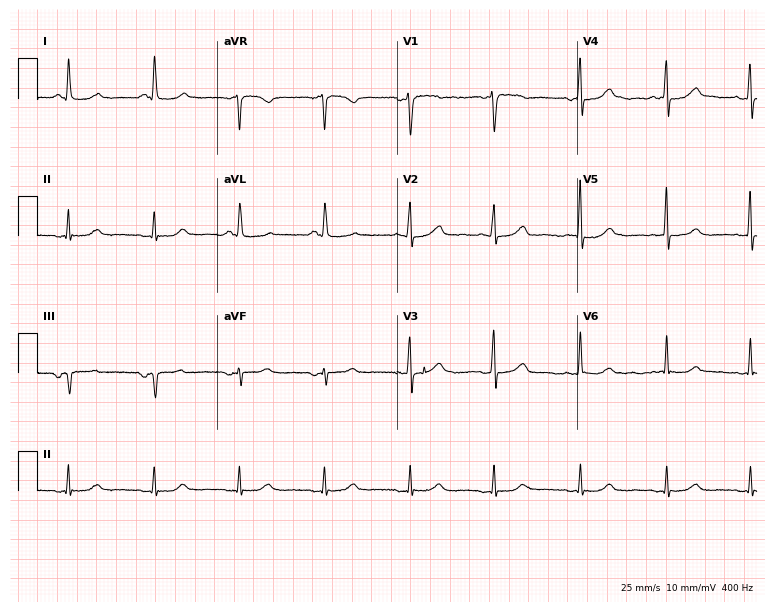
Resting 12-lead electrocardiogram. Patient: a woman, 66 years old. Read as a normal ECG.